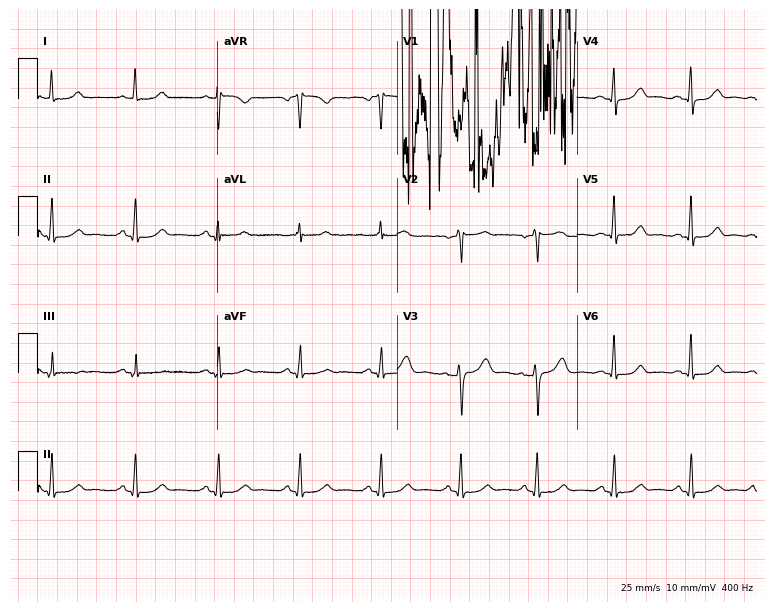
ECG — a woman, 41 years old. Screened for six findings — first-degree AV block, right bundle branch block, left bundle branch block, sinus bradycardia, atrial fibrillation, sinus tachycardia — none is recorded.